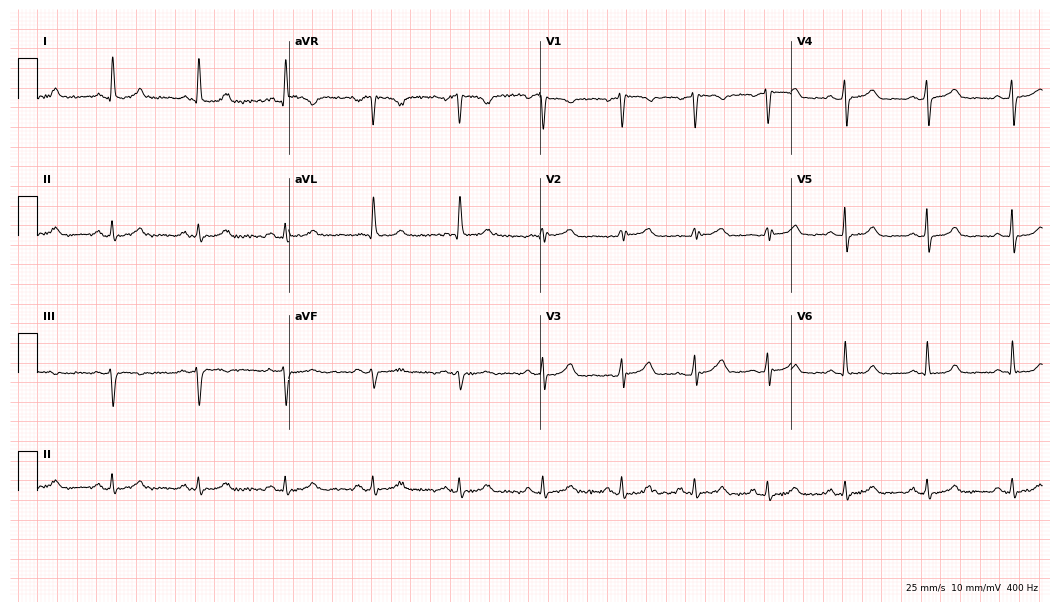
12-lead ECG from a female patient, 50 years old. No first-degree AV block, right bundle branch block, left bundle branch block, sinus bradycardia, atrial fibrillation or sinus tachycardia recorded for this tracing.